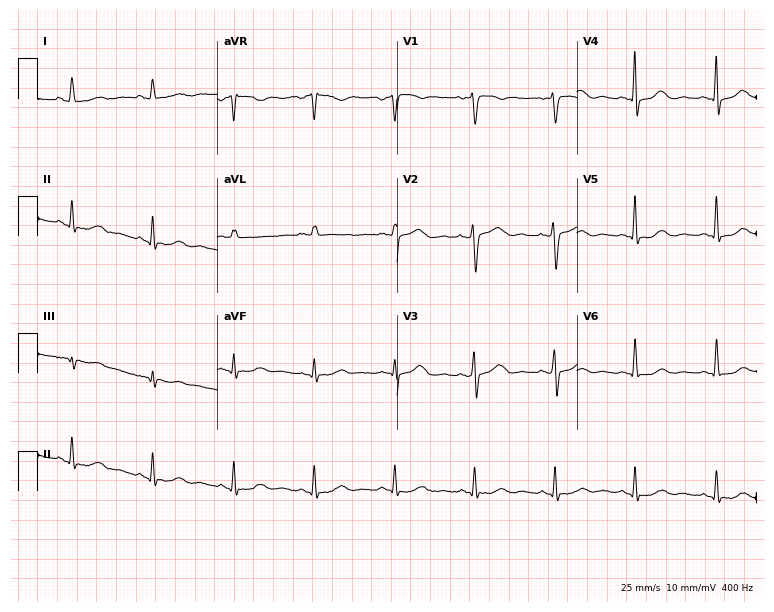
Standard 12-lead ECG recorded from a female patient, 54 years old (7.3-second recording at 400 Hz). None of these six findings is recorded: first-degree AV block, right bundle branch block (RBBB), left bundle branch block (LBBB), sinus bradycardia, atrial fibrillation (AF), sinus tachycardia. Only these six findings were labelled.